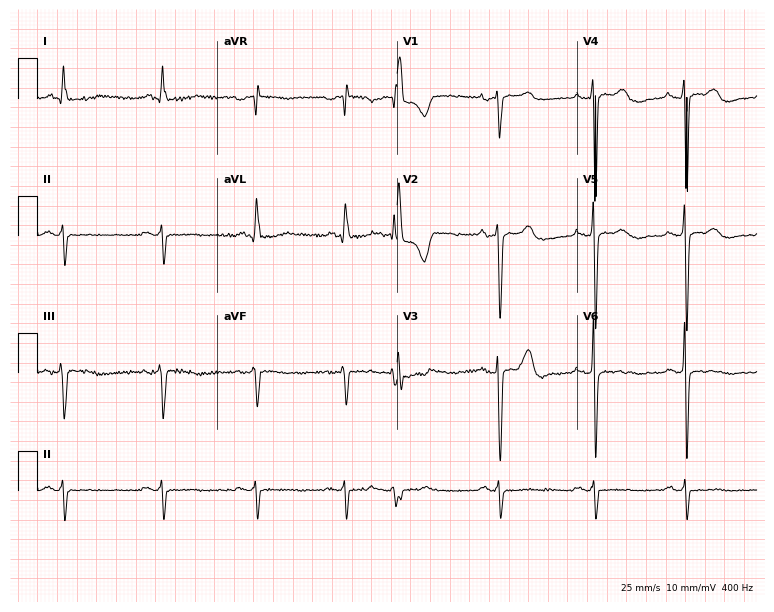
Standard 12-lead ECG recorded from a man, 80 years old. None of these six findings is recorded: first-degree AV block, right bundle branch block (RBBB), left bundle branch block (LBBB), sinus bradycardia, atrial fibrillation (AF), sinus tachycardia. Other findings, if any, are not listed.